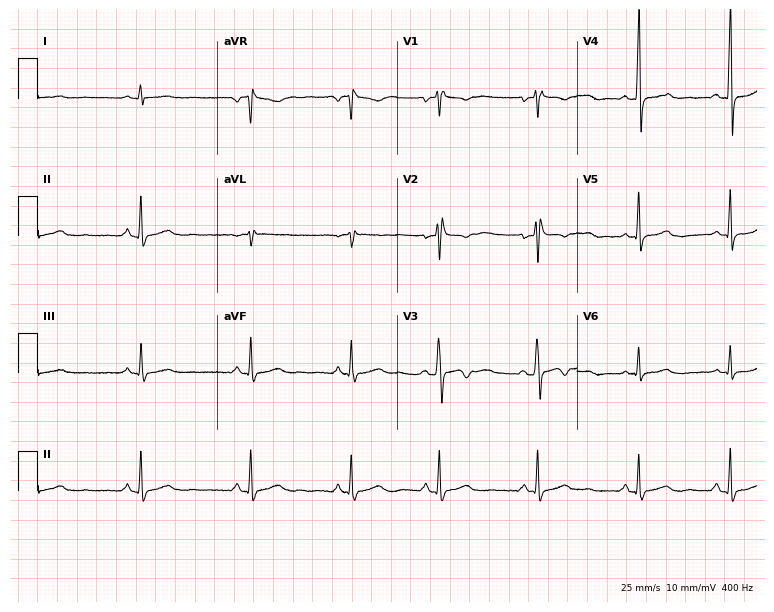
ECG — a female, 21 years old. Screened for six findings — first-degree AV block, right bundle branch block, left bundle branch block, sinus bradycardia, atrial fibrillation, sinus tachycardia — none is recorded. Other findings, if any, are not listed.